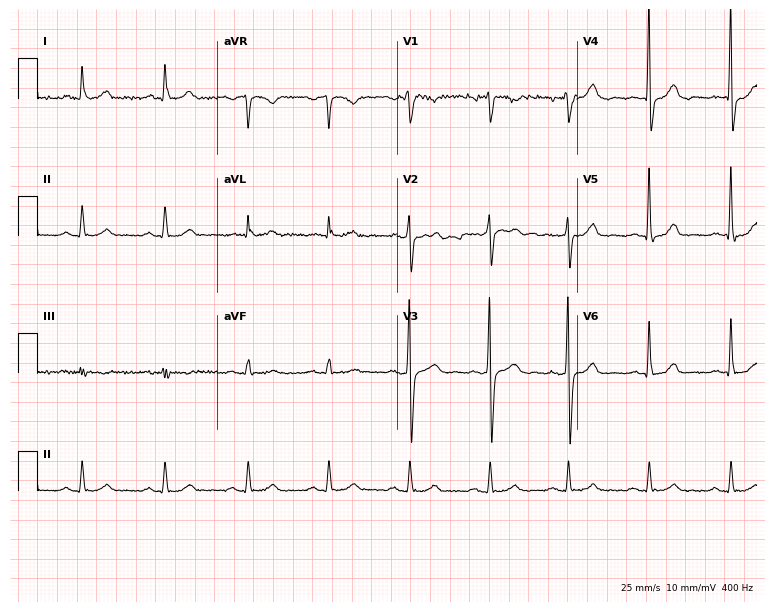
ECG (7.3-second recording at 400 Hz) — a 53-year-old man. Labelled as a normal ECG.